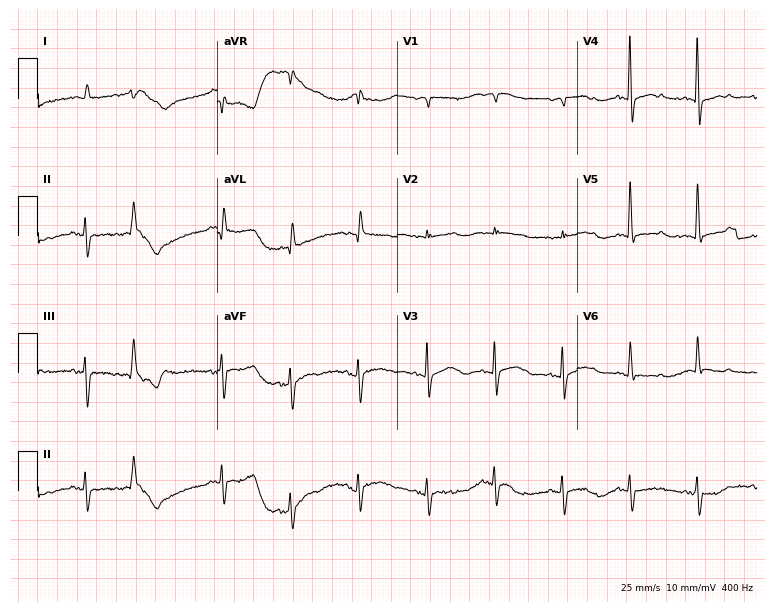
Resting 12-lead electrocardiogram (7.3-second recording at 400 Hz). Patient: a female, 84 years old. None of these six findings is recorded: first-degree AV block, right bundle branch block, left bundle branch block, sinus bradycardia, atrial fibrillation, sinus tachycardia. Only these six findings were labelled.